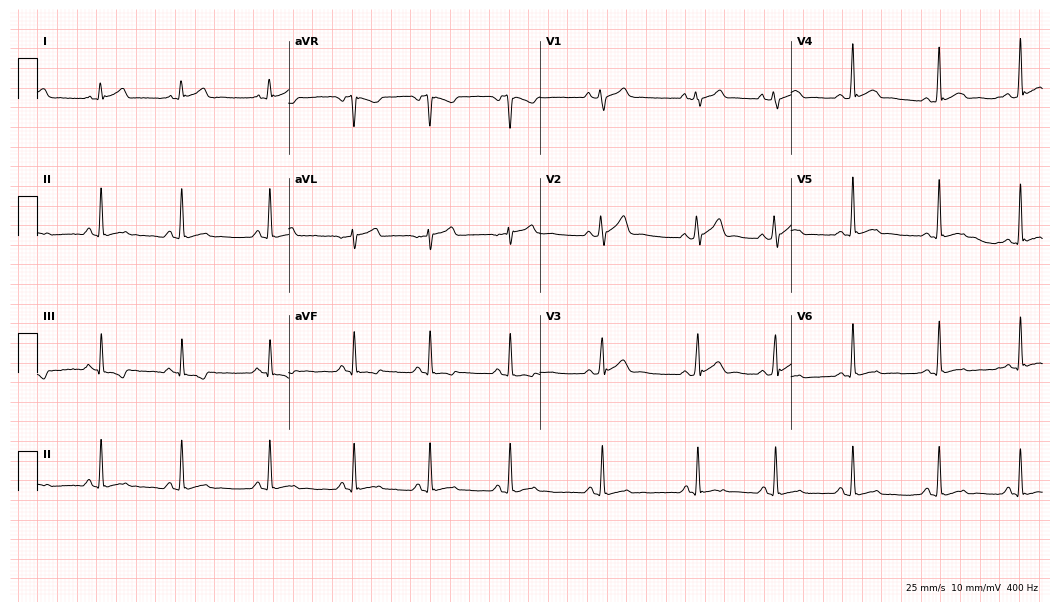
12-lead ECG (10.2-second recording at 400 Hz) from a man, 25 years old. Labelled as a normal ECG.